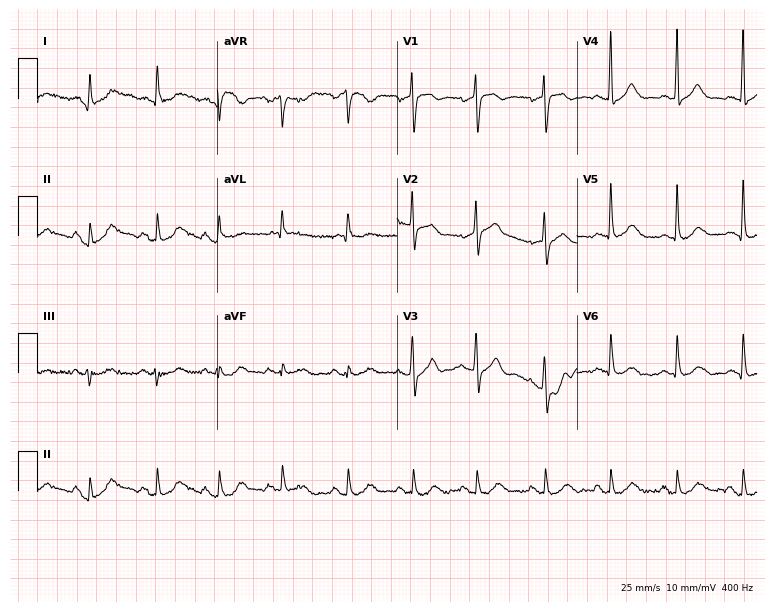
ECG (7.3-second recording at 400 Hz) — a male, 84 years old. Screened for six findings — first-degree AV block, right bundle branch block, left bundle branch block, sinus bradycardia, atrial fibrillation, sinus tachycardia — none is recorded. Findings outside these six are not listed.